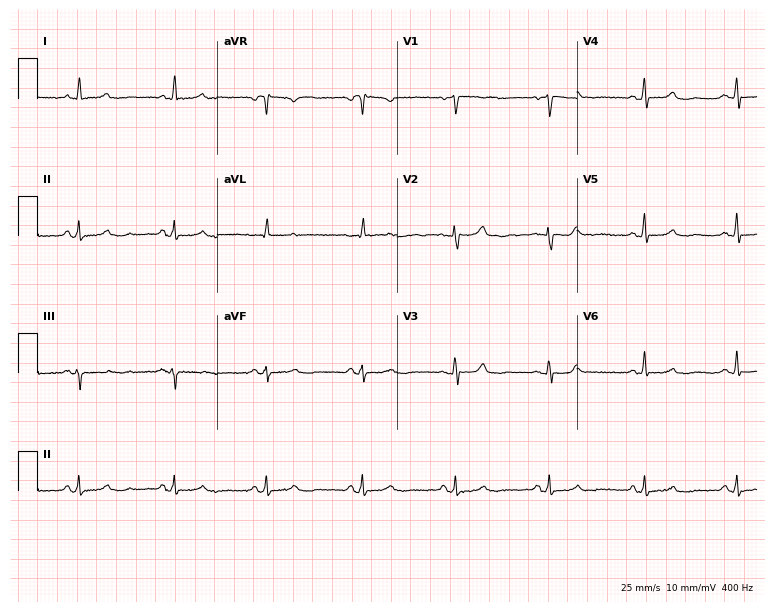
12-lead ECG from a 63-year-old woman. Screened for six findings — first-degree AV block, right bundle branch block, left bundle branch block, sinus bradycardia, atrial fibrillation, sinus tachycardia — none is recorded. Other findings, if any, are not listed.